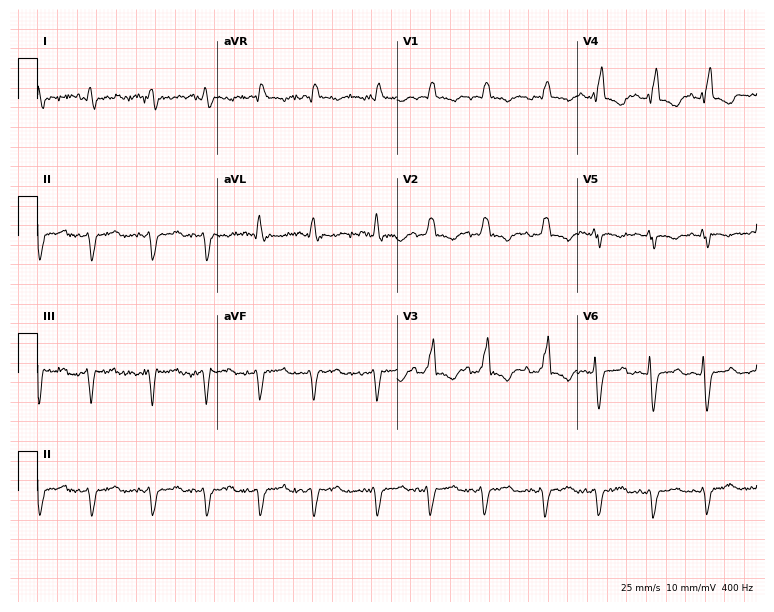
Standard 12-lead ECG recorded from a 61-year-old woman (7.3-second recording at 400 Hz). None of these six findings is recorded: first-degree AV block, right bundle branch block (RBBB), left bundle branch block (LBBB), sinus bradycardia, atrial fibrillation (AF), sinus tachycardia.